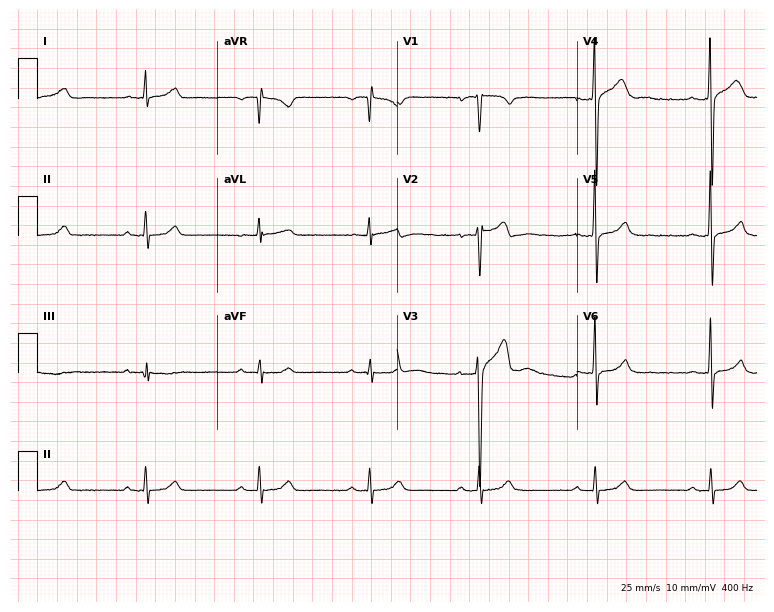
ECG (7.3-second recording at 400 Hz) — a 27-year-old male patient. Screened for six findings — first-degree AV block, right bundle branch block, left bundle branch block, sinus bradycardia, atrial fibrillation, sinus tachycardia — none is recorded.